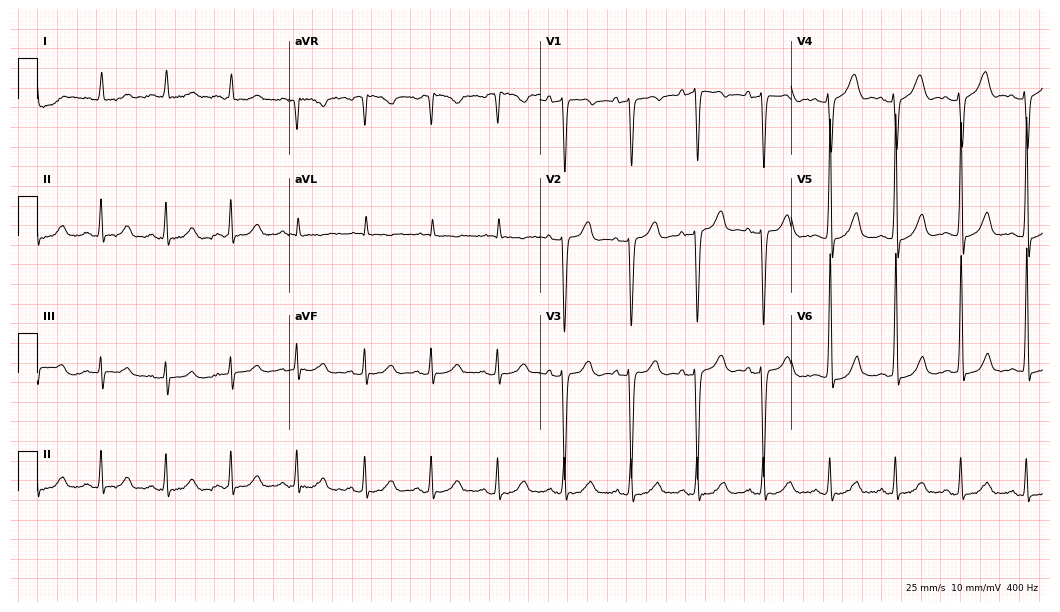
Electrocardiogram, a woman, 72 years old. Of the six screened findings (first-degree AV block, right bundle branch block, left bundle branch block, sinus bradycardia, atrial fibrillation, sinus tachycardia), none is recorded. Other findings, if any, are not listed.